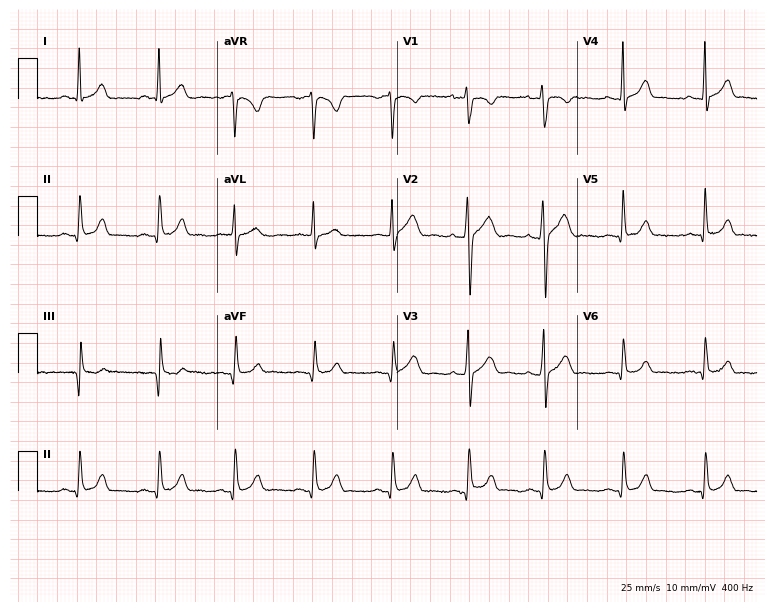
12-lead ECG from a 30-year-old male (7.3-second recording at 400 Hz). Recorded interpretation: within normal limits.